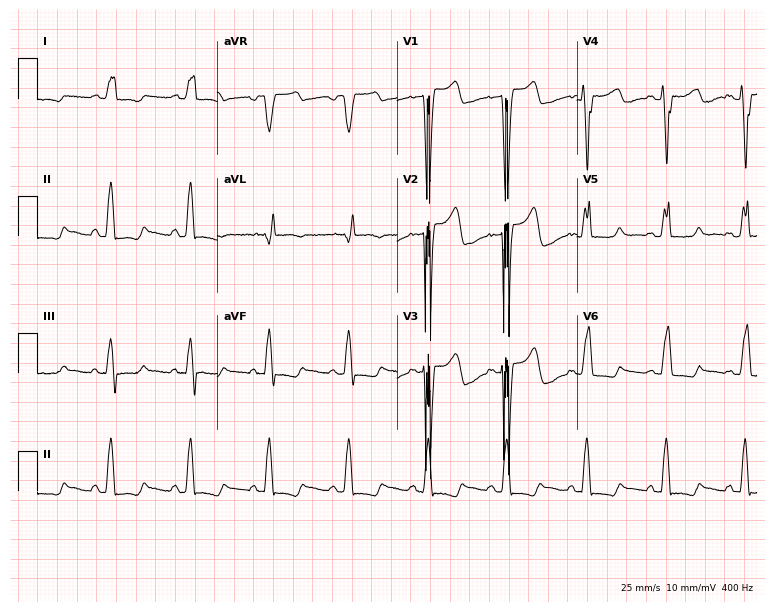
12-lead ECG from a female patient, 62 years old (7.3-second recording at 400 Hz). Shows left bundle branch block (LBBB).